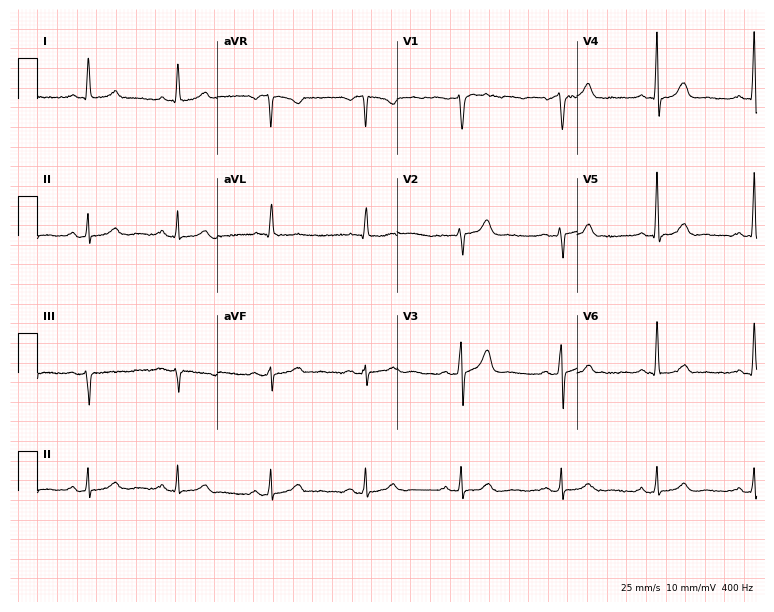
Electrocardiogram, a 72-year-old female patient. Of the six screened findings (first-degree AV block, right bundle branch block (RBBB), left bundle branch block (LBBB), sinus bradycardia, atrial fibrillation (AF), sinus tachycardia), none is recorded.